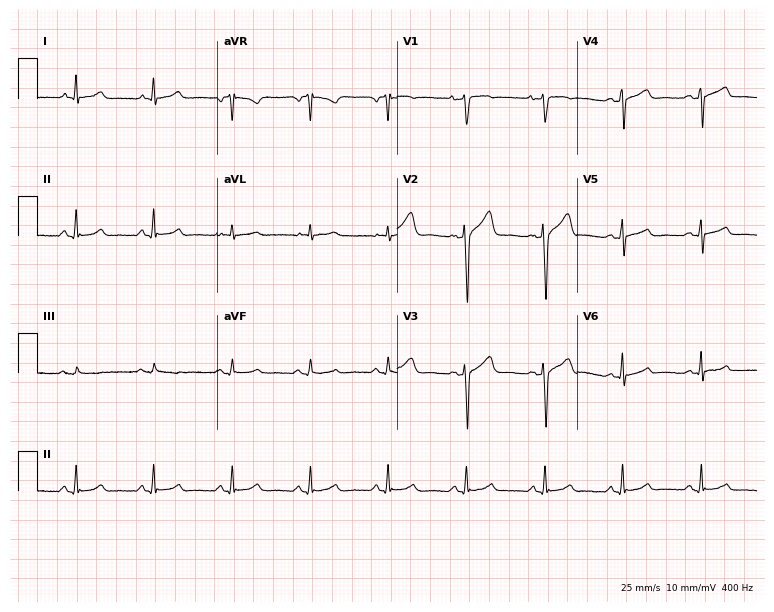
Electrocardiogram, a 43-year-old male. Overall reading on record: normal ECG.